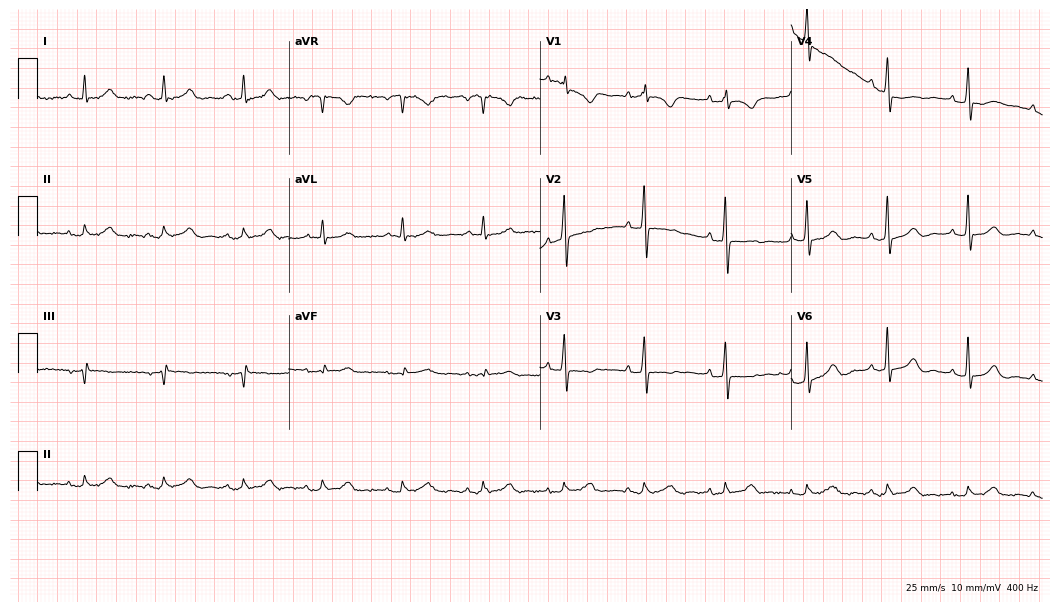
Standard 12-lead ECG recorded from an 81-year-old female patient (10.2-second recording at 400 Hz). Read as a normal ECG.